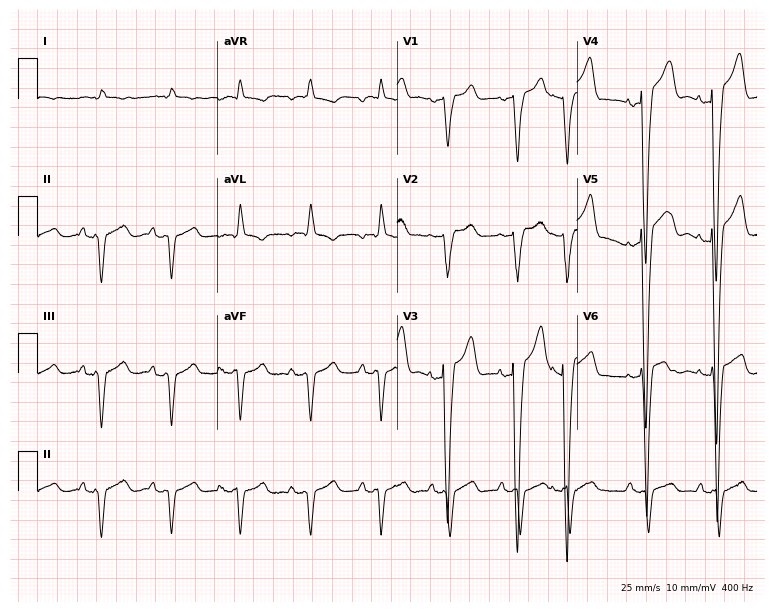
12-lead ECG from a man, 58 years old (7.3-second recording at 400 Hz). No first-degree AV block, right bundle branch block (RBBB), left bundle branch block (LBBB), sinus bradycardia, atrial fibrillation (AF) or sinus tachycardia recorded for this tracing.